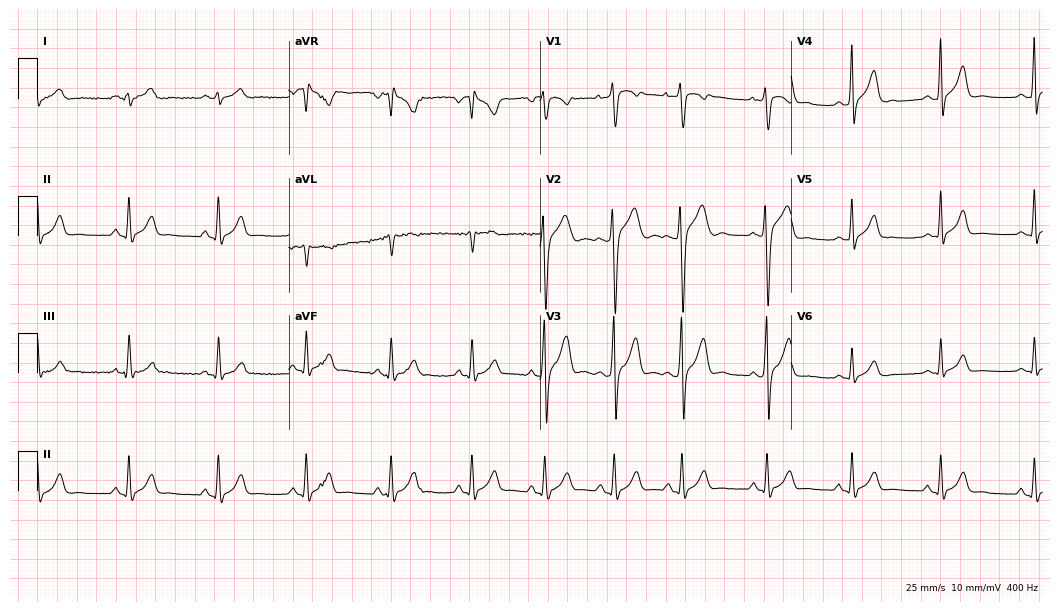
ECG (10.2-second recording at 400 Hz) — a man, 20 years old. Labelled as a normal ECG.